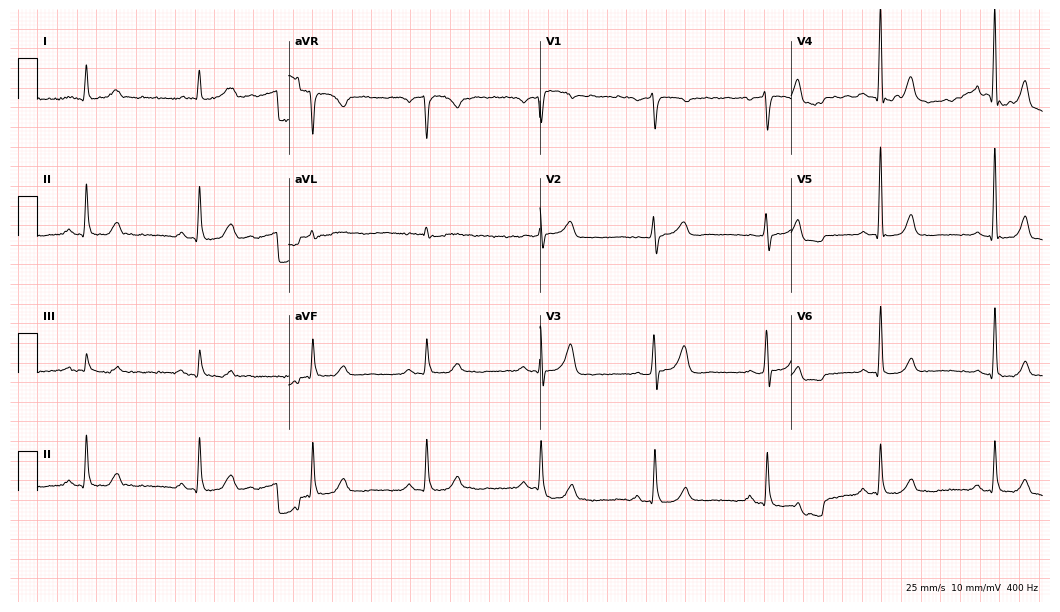
Standard 12-lead ECG recorded from a 78-year-old male patient (10.2-second recording at 400 Hz). Read as a normal ECG.